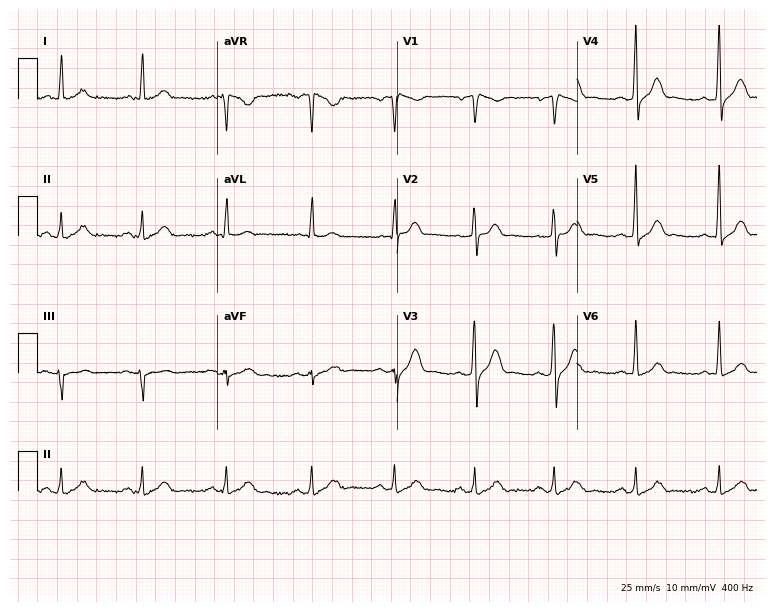
Resting 12-lead electrocardiogram (7.3-second recording at 400 Hz). Patient: a 43-year-old man. Read as a normal ECG.